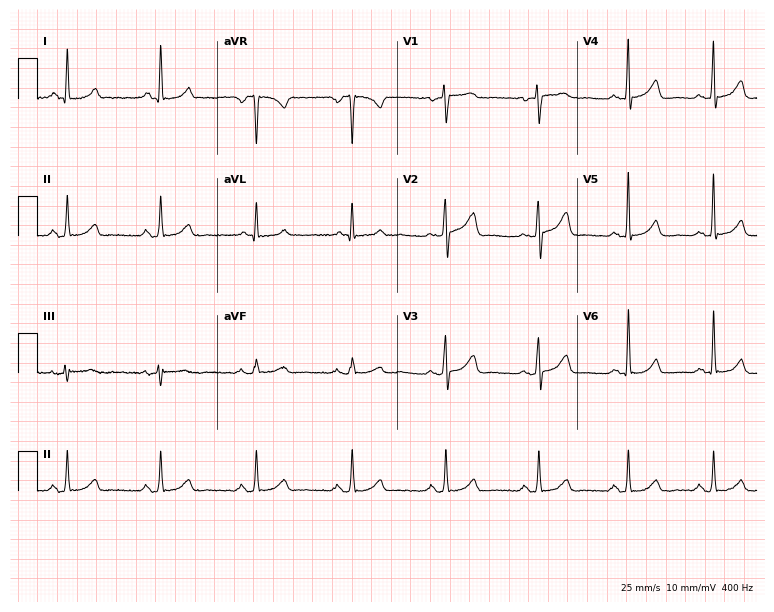
12-lead ECG from a woman, 53 years old. Recorded interpretation: within normal limits.